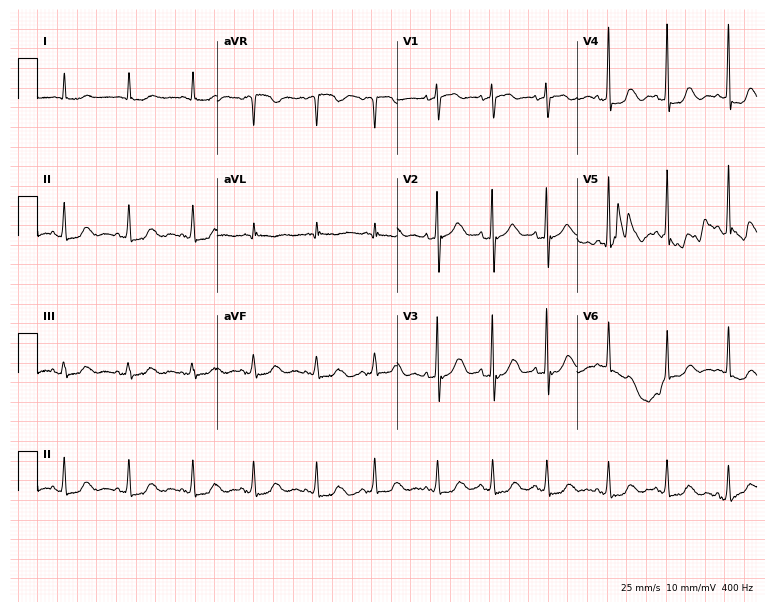
Electrocardiogram (7.3-second recording at 400 Hz), a 79-year-old female patient. Overall reading on record: normal ECG.